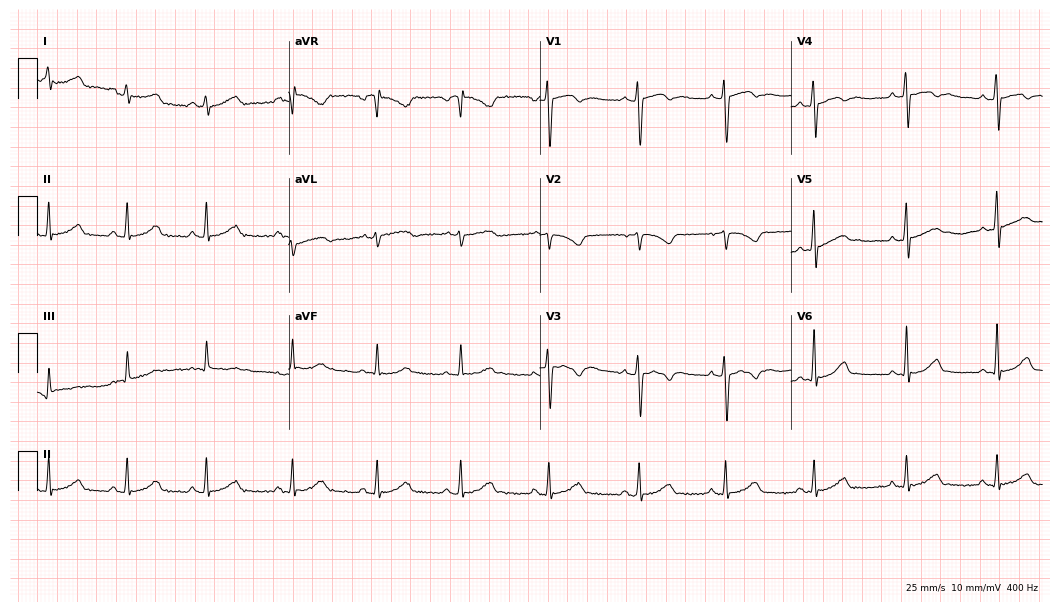
Resting 12-lead electrocardiogram. Patient: a female, 25 years old. None of these six findings is recorded: first-degree AV block, right bundle branch block, left bundle branch block, sinus bradycardia, atrial fibrillation, sinus tachycardia.